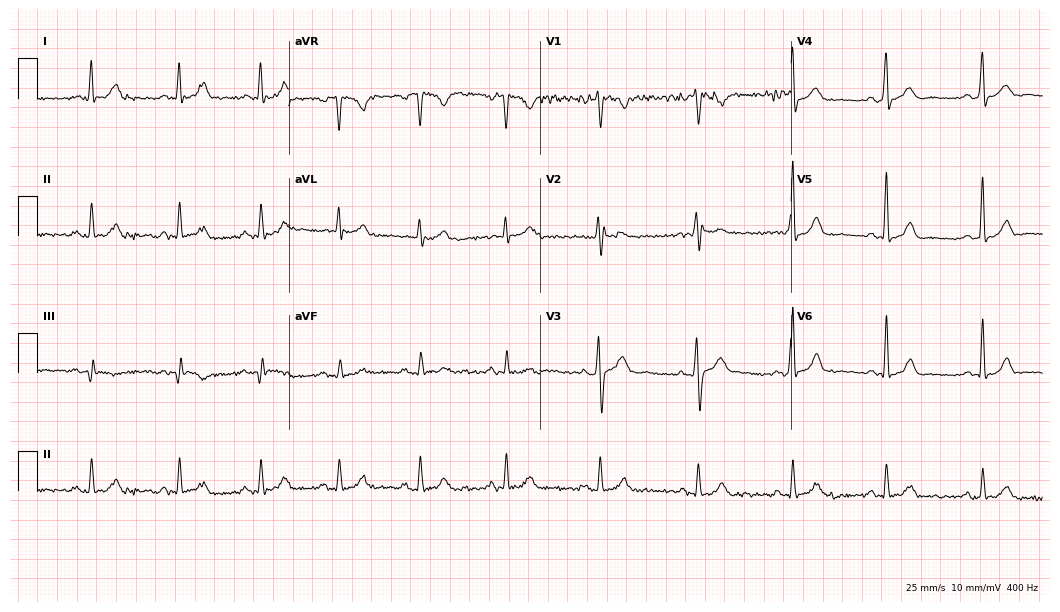
12-lead ECG from a 23-year-old male (10.2-second recording at 400 Hz). Recorded interpretation: within normal limits.